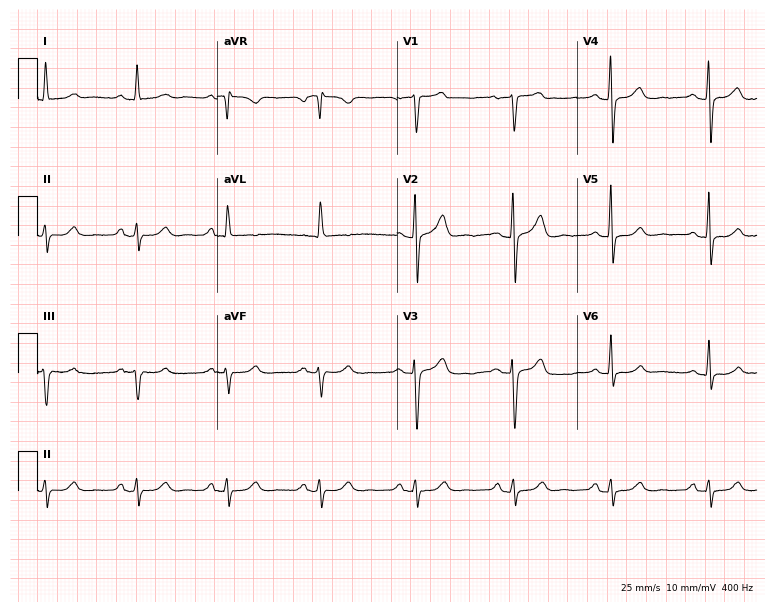
Electrocardiogram (7.3-second recording at 400 Hz), a 65-year-old female patient. Of the six screened findings (first-degree AV block, right bundle branch block, left bundle branch block, sinus bradycardia, atrial fibrillation, sinus tachycardia), none is recorded.